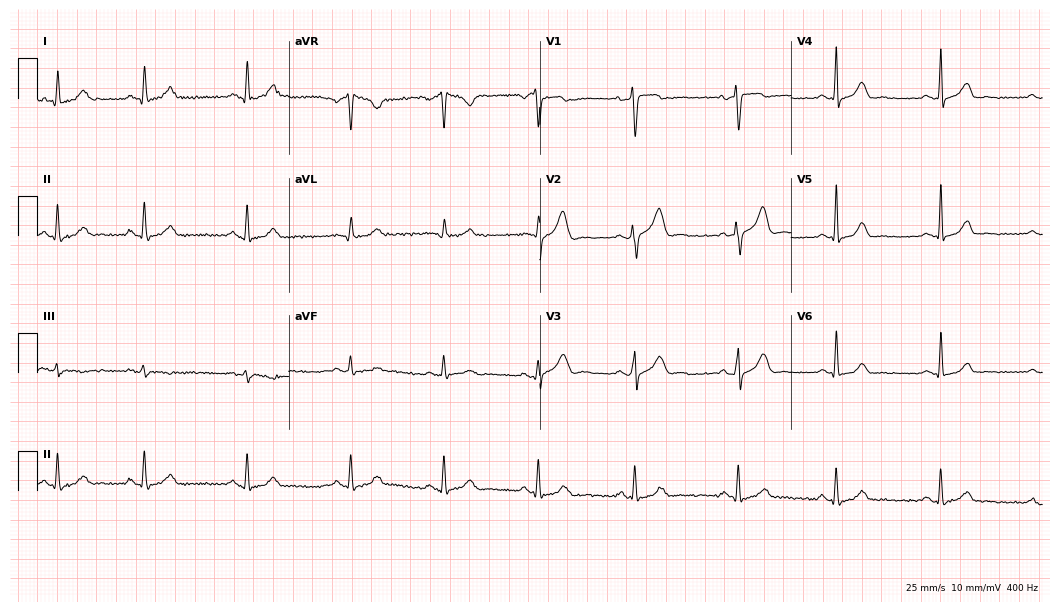
Resting 12-lead electrocardiogram (10.2-second recording at 400 Hz). Patient: a female, 36 years old. Read as a normal ECG.